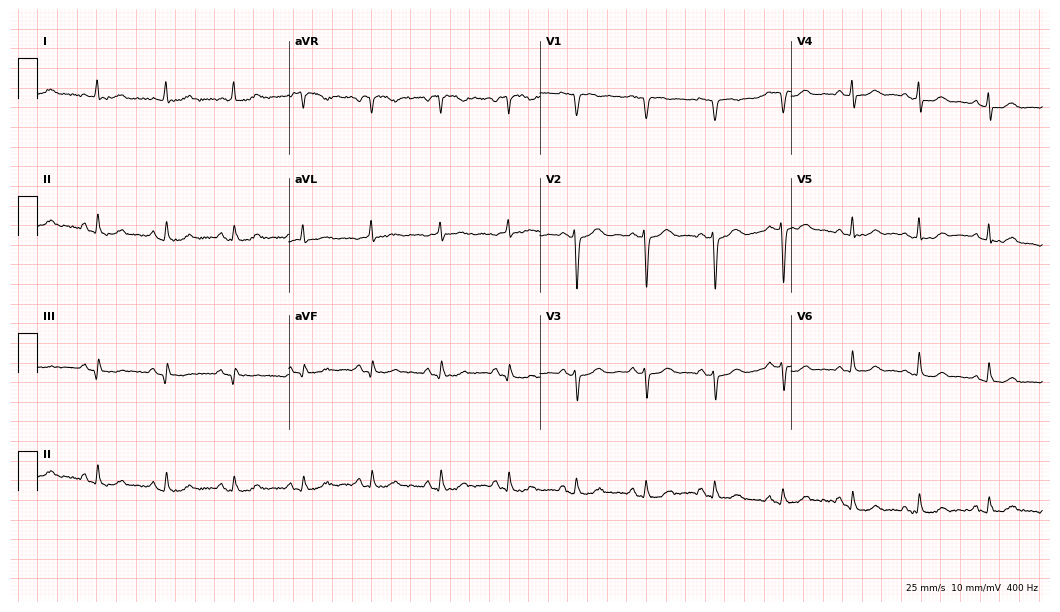
12-lead ECG (10.2-second recording at 400 Hz) from a 72-year-old female. Labelled as a normal ECG.